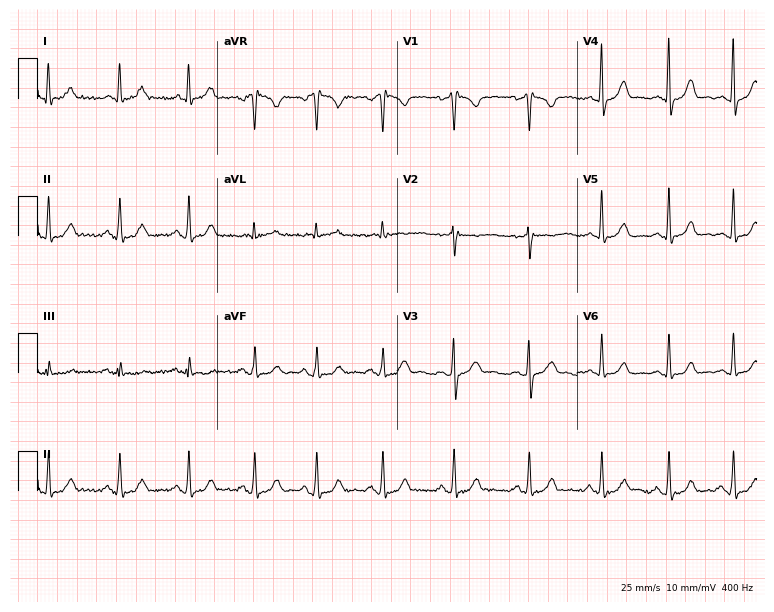
Electrocardiogram (7.3-second recording at 400 Hz), a 32-year-old female. Of the six screened findings (first-degree AV block, right bundle branch block (RBBB), left bundle branch block (LBBB), sinus bradycardia, atrial fibrillation (AF), sinus tachycardia), none is recorded.